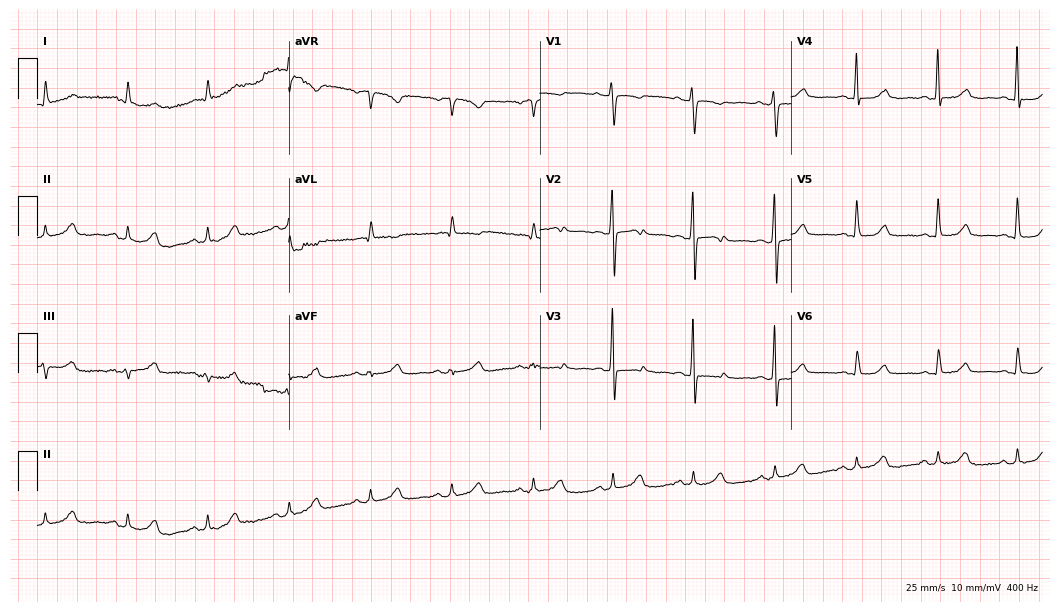
12-lead ECG from a 72-year-old woman (10.2-second recording at 400 Hz). No first-degree AV block, right bundle branch block, left bundle branch block, sinus bradycardia, atrial fibrillation or sinus tachycardia recorded for this tracing.